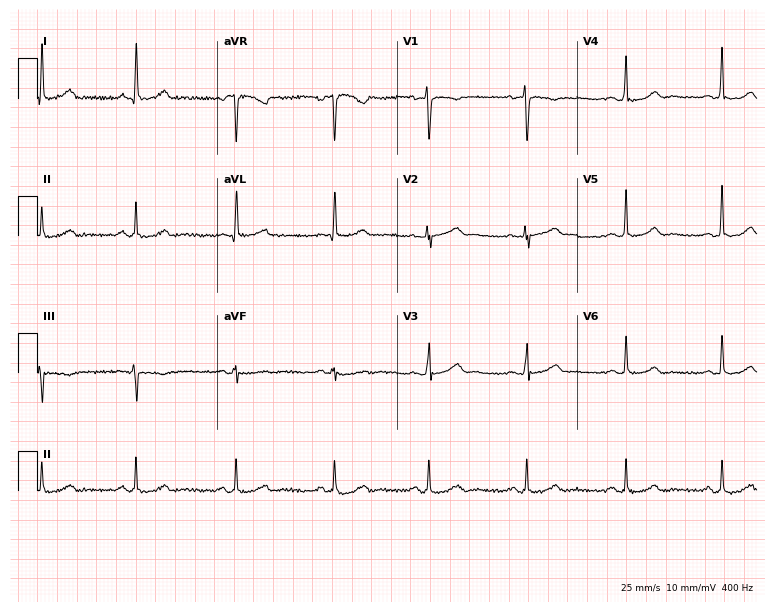
12-lead ECG from a 45-year-old female (7.3-second recording at 400 Hz). Recorded interpretation: within normal limits.